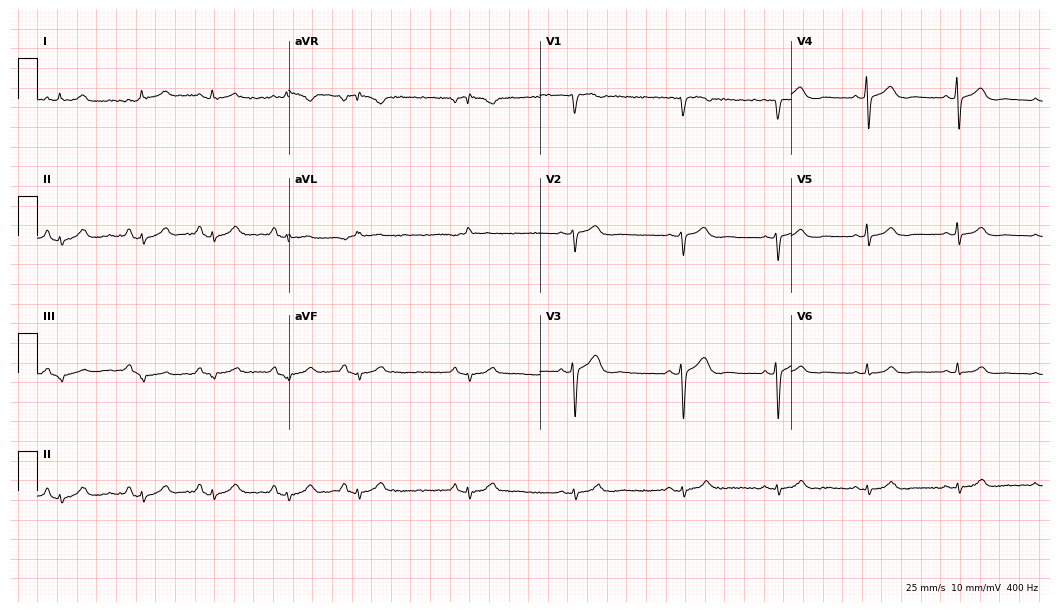
Standard 12-lead ECG recorded from a 45-year-old woman. None of these six findings is recorded: first-degree AV block, right bundle branch block (RBBB), left bundle branch block (LBBB), sinus bradycardia, atrial fibrillation (AF), sinus tachycardia.